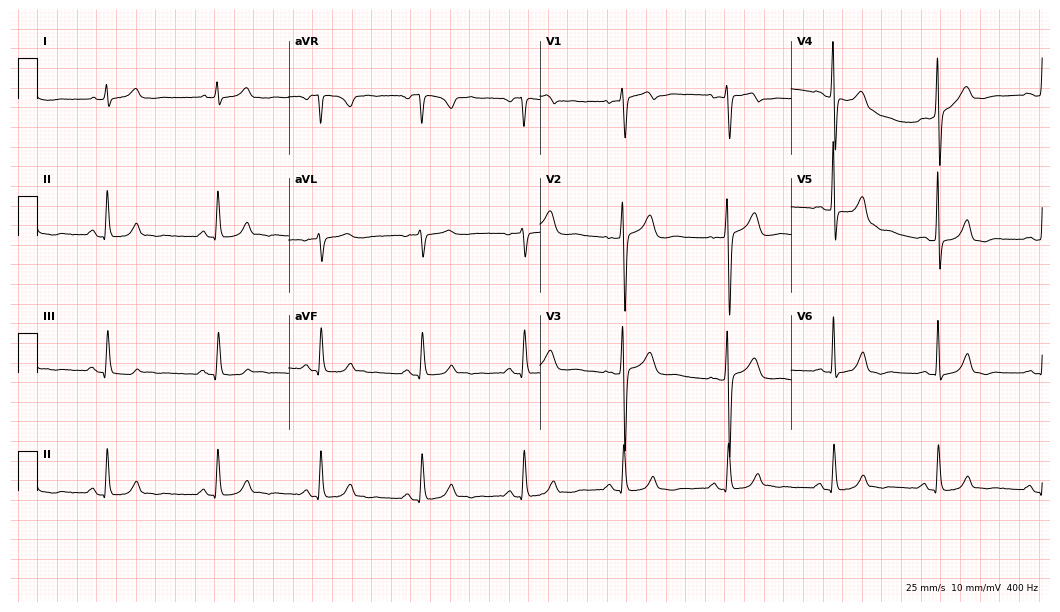
12-lead ECG from a 63-year-old female patient. Labelled as a normal ECG.